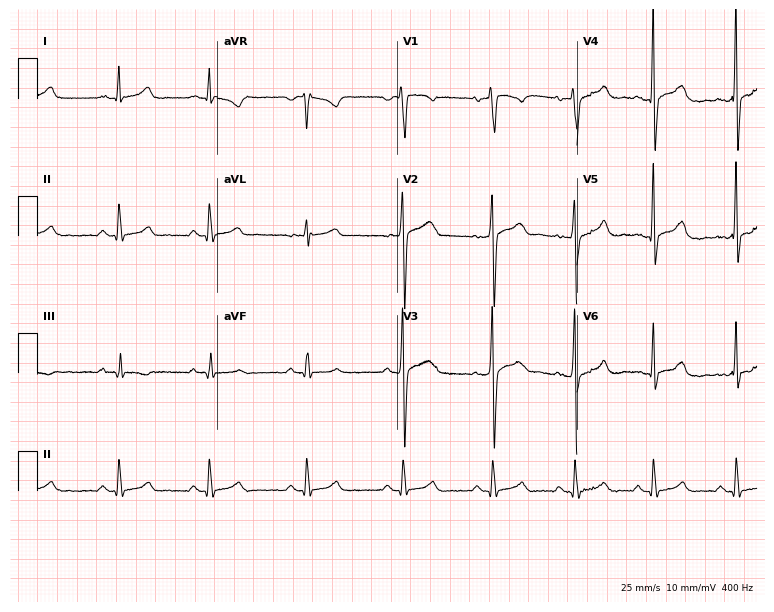
Electrocardiogram (7.3-second recording at 400 Hz), a 32-year-old male patient. Overall reading on record: normal ECG.